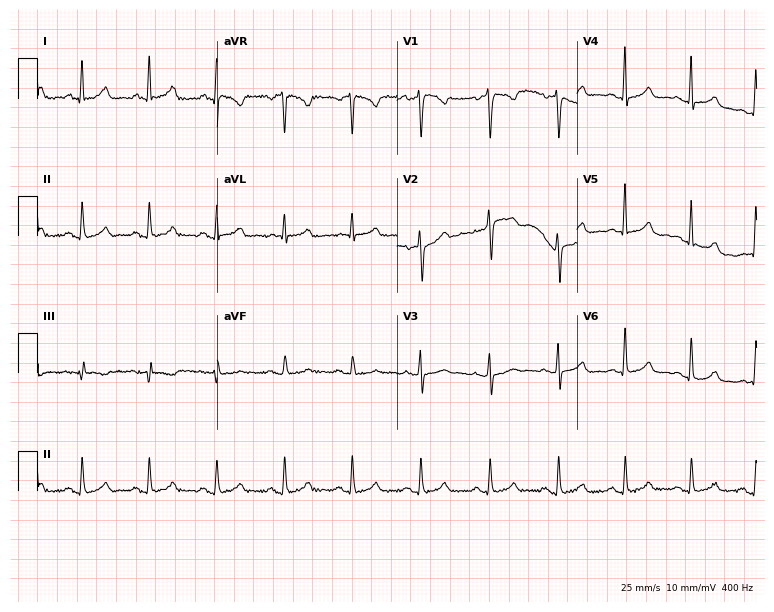
Electrocardiogram (7.3-second recording at 400 Hz), a 46-year-old woman. Of the six screened findings (first-degree AV block, right bundle branch block, left bundle branch block, sinus bradycardia, atrial fibrillation, sinus tachycardia), none is recorded.